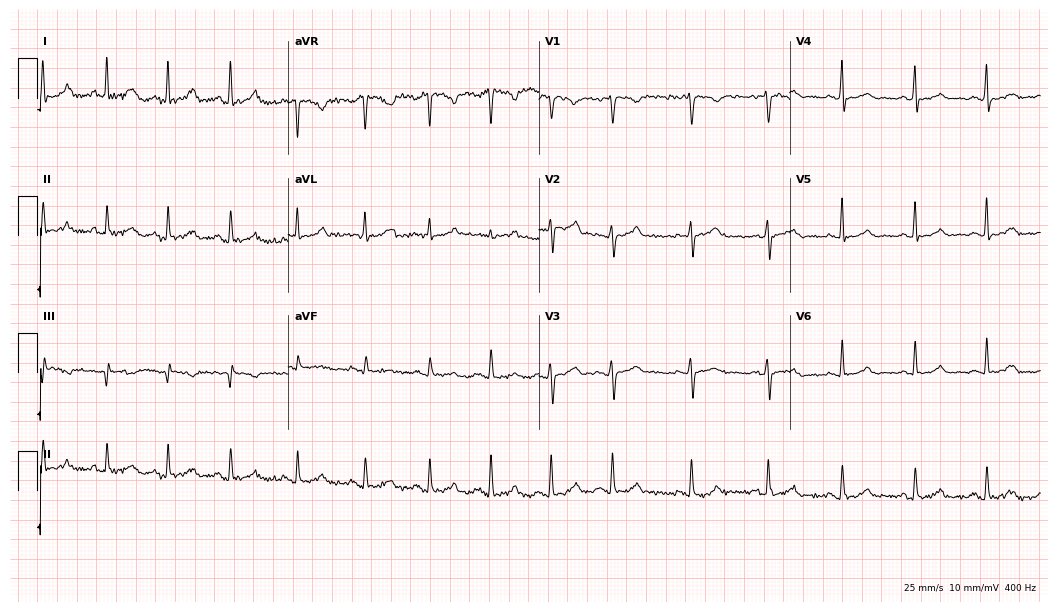
Electrocardiogram (10.2-second recording at 400 Hz), a female patient, 27 years old. Overall reading on record: normal ECG.